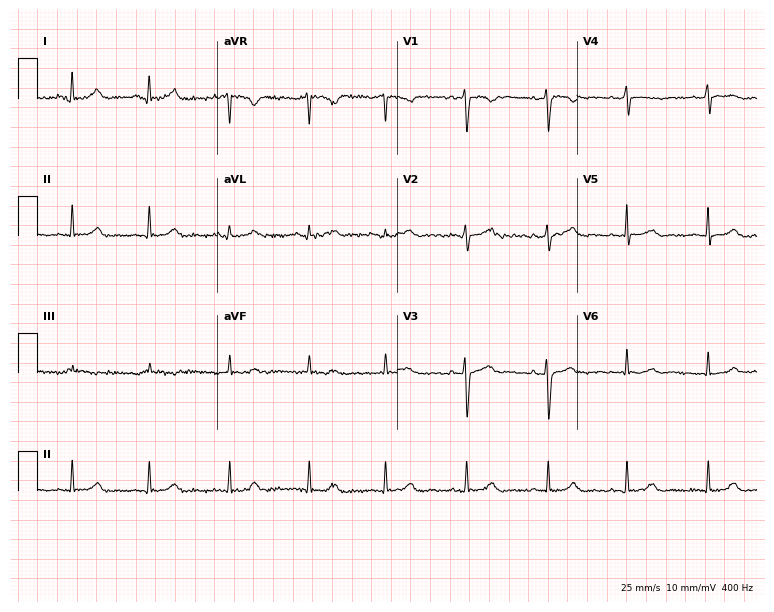
ECG — a female, 35 years old. Screened for six findings — first-degree AV block, right bundle branch block (RBBB), left bundle branch block (LBBB), sinus bradycardia, atrial fibrillation (AF), sinus tachycardia — none is recorded.